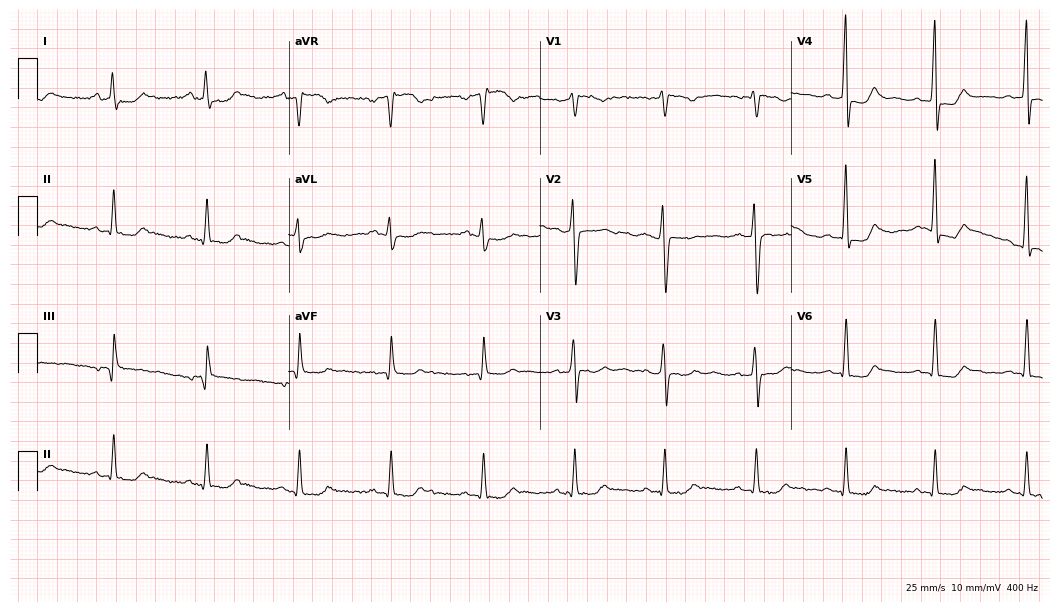
12-lead ECG from a female, 30 years old (10.2-second recording at 400 Hz). No first-degree AV block, right bundle branch block, left bundle branch block, sinus bradycardia, atrial fibrillation or sinus tachycardia recorded for this tracing.